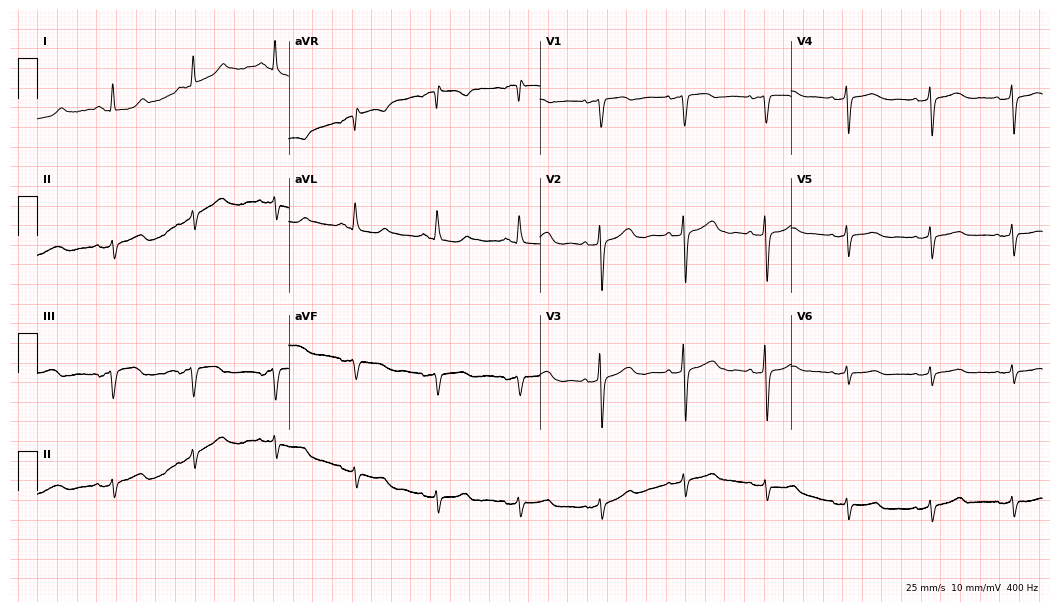
ECG (10.2-second recording at 400 Hz) — a 66-year-old female. Screened for six findings — first-degree AV block, right bundle branch block, left bundle branch block, sinus bradycardia, atrial fibrillation, sinus tachycardia — none is recorded.